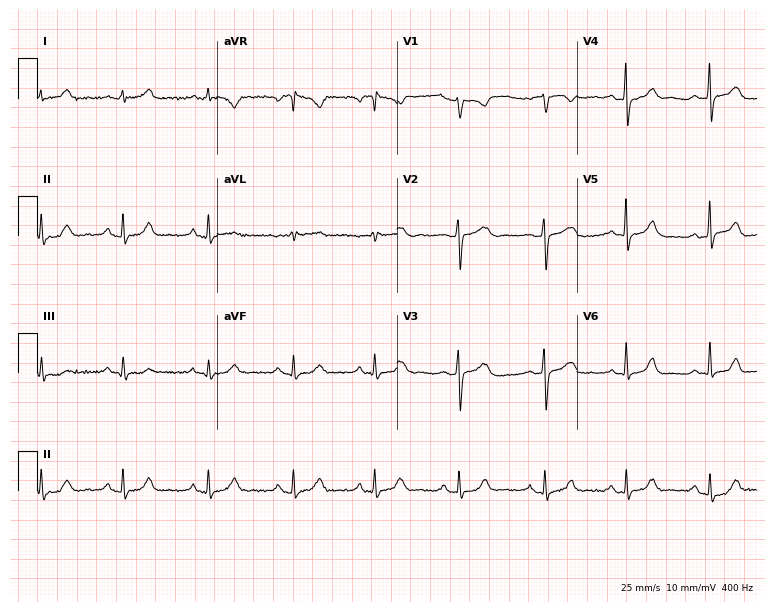
Resting 12-lead electrocardiogram. Patient: a 37-year-old woman. None of these six findings is recorded: first-degree AV block, right bundle branch block, left bundle branch block, sinus bradycardia, atrial fibrillation, sinus tachycardia.